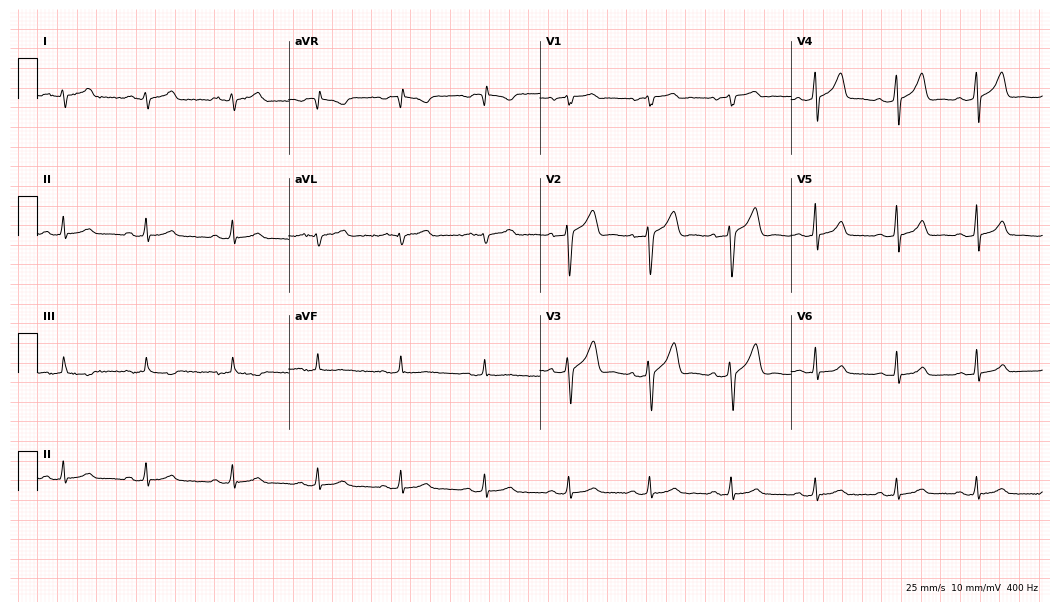
12-lead ECG from a male, 33 years old. Recorded interpretation: within normal limits.